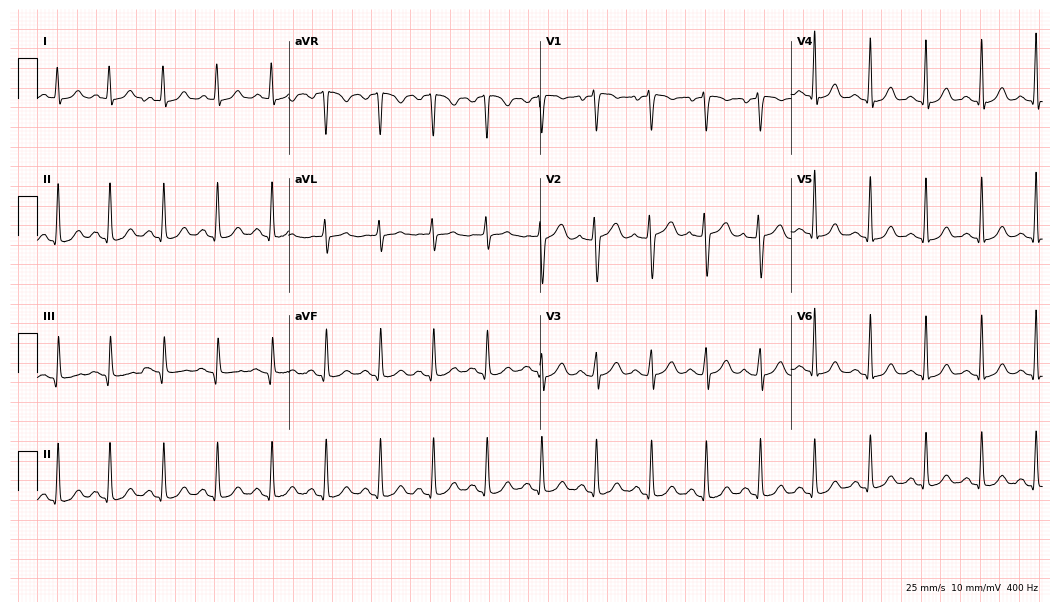
Resting 12-lead electrocardiogram (10.2-second recording at 400 Hz). Patient: a 45-year-old woman. None of these six findings is recorded: first-degree AV block, right bundle branch block, left bundle branch block, sinus bradycardia, atrial fibrillation, sinus tachycardia.